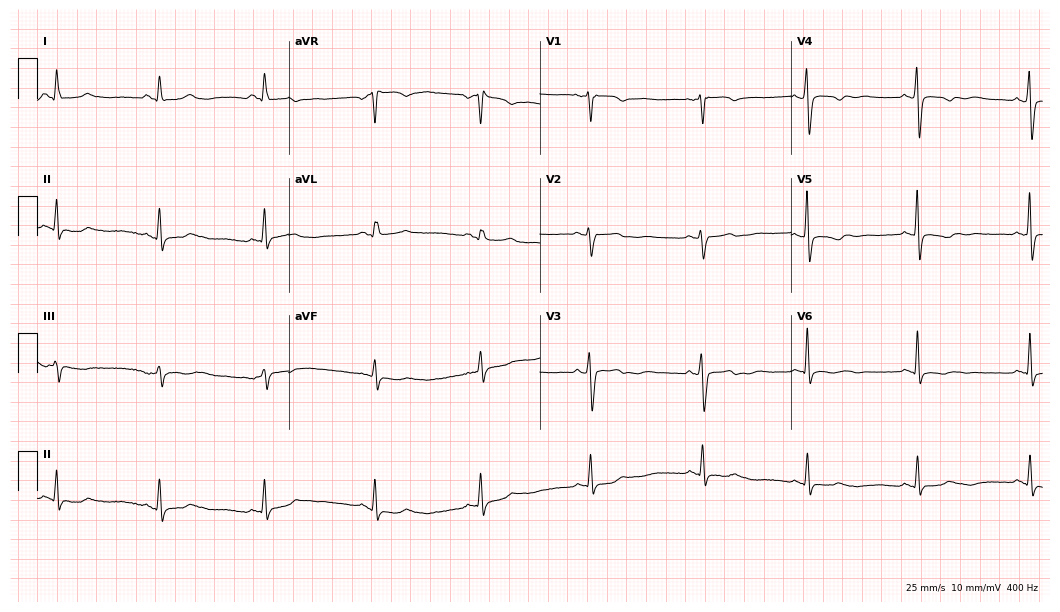
12-lead ECG from a 63-year-old female patient (10.2-second recording at 400 Hz). No first-degree AV block, right bundle branch block, left bundle branch block, sinus bradycardia, atrial fibrillation or sinus tachycardia recorded for this tracing.